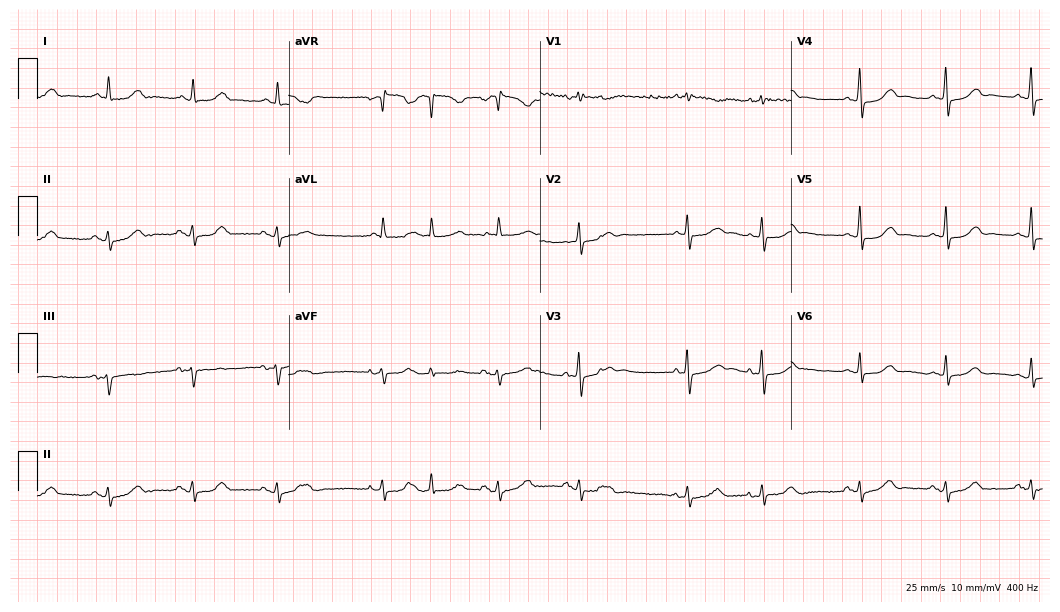
ECG (10.2-second recording at 400 Hz) — an 88-year-old female patient. Screened for six findings — first-degree AV block, right bundle branch block, left bundle branch block, sinus bradycardia, atrial fibrillation, sinus tachycardia — none is recorded. Only these six findings were labelled.